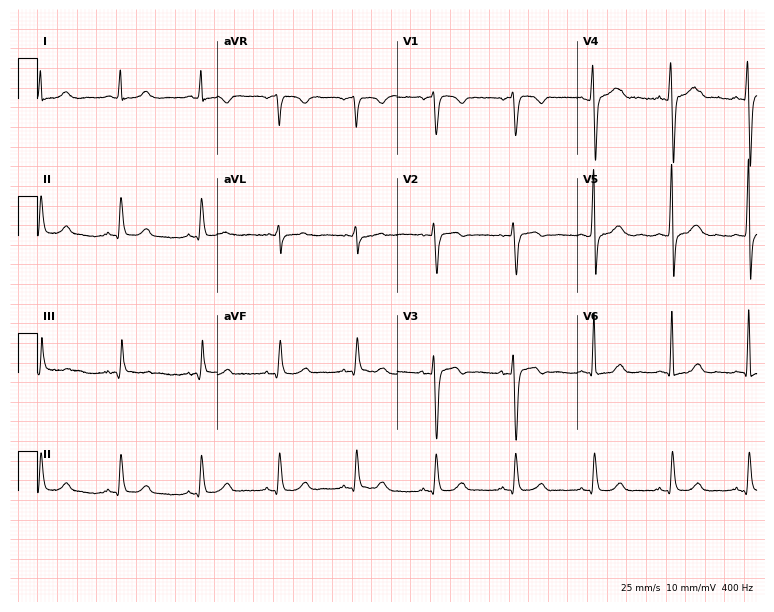
Electrocardiogram, a 38-year-old female. Overall reading on record: normal ECG.